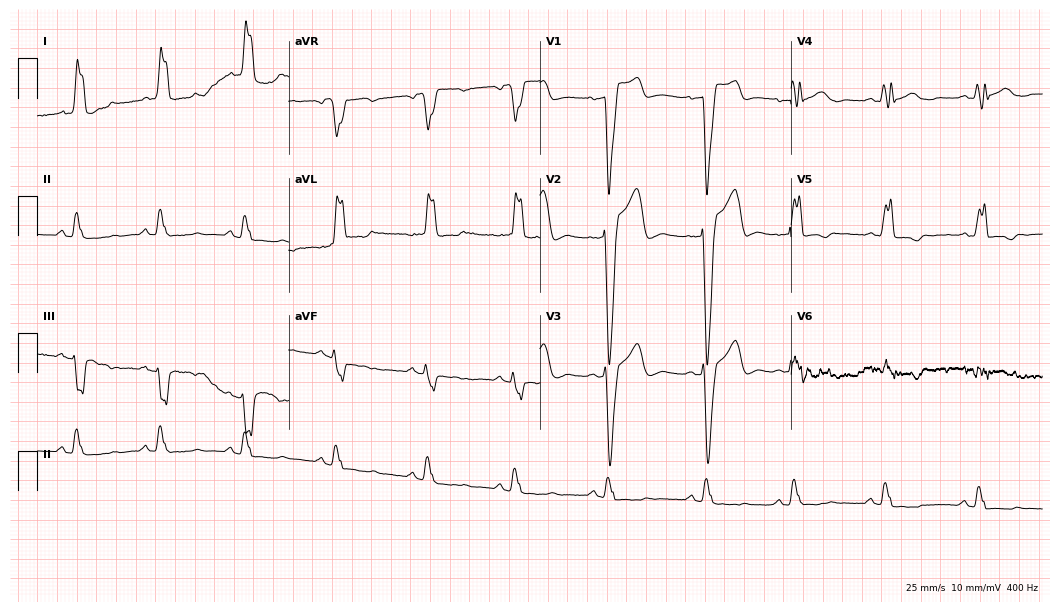
Standard 12-lead ECG recorded from a female patient, 54 years old. The tracing shows left bundle branch block.